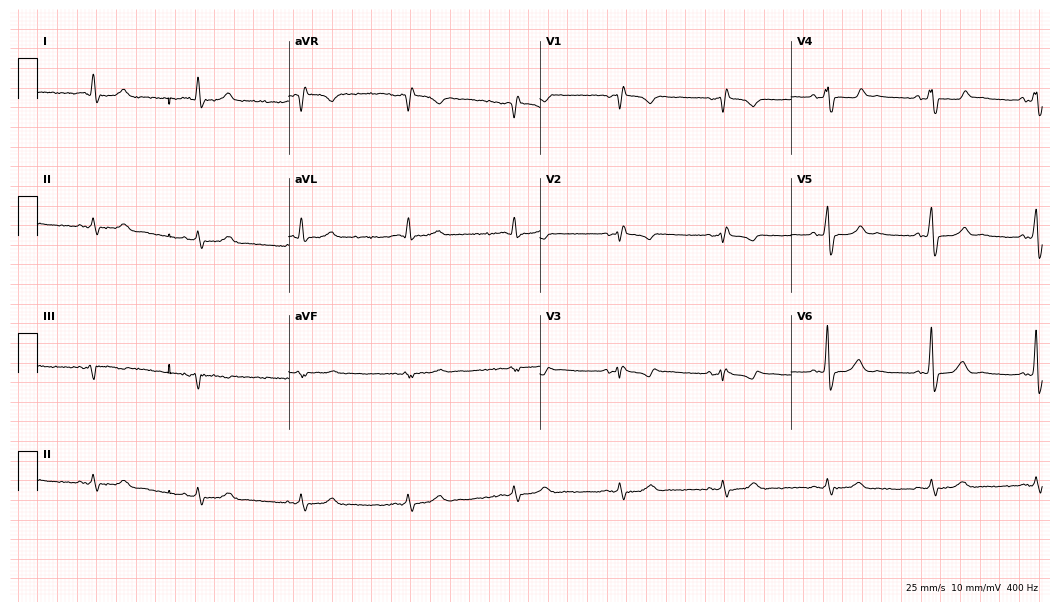
Standard 12-lead ECG recorded from a male, 73 years old. None of these six findings is recorded: first-degree AV block, right bundle branch block (RBBB), left bundle branch block (LBBB), sinus bradycardia, atrial fibrillation (AF), sinus tachycardia. Other findings, if any, are not listed.